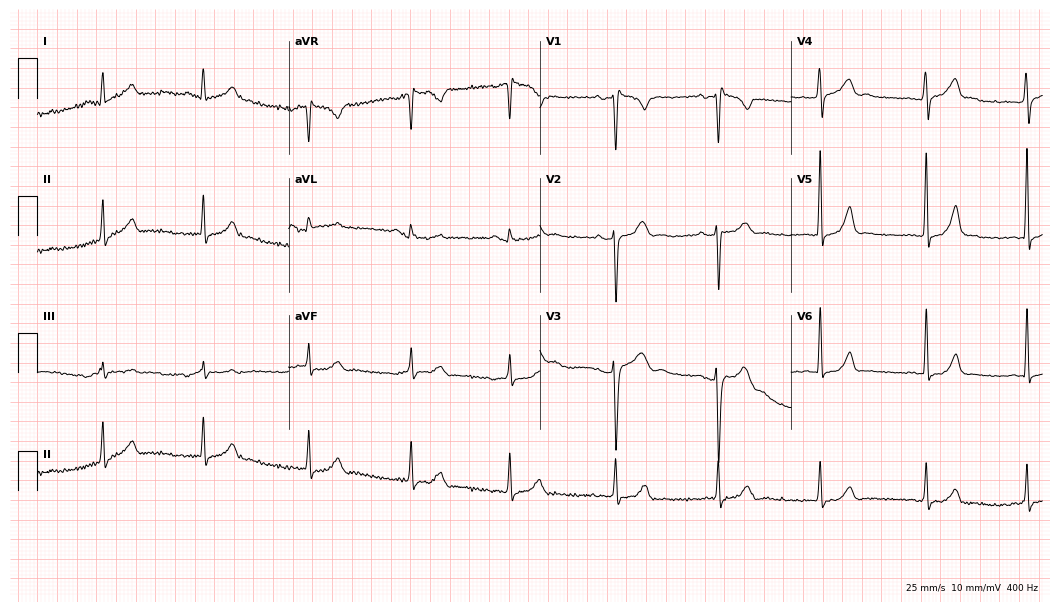
ECG (10.2-second recording at 400 Hz) — a man, 23 years old. Screened for six findings — first-degree AV block, right bundle branch block (RBBB), left bundle branch block (LBBB), sinus bradycardia, atrial fibrillation (AF), sinus tachycardia — none is recorded.